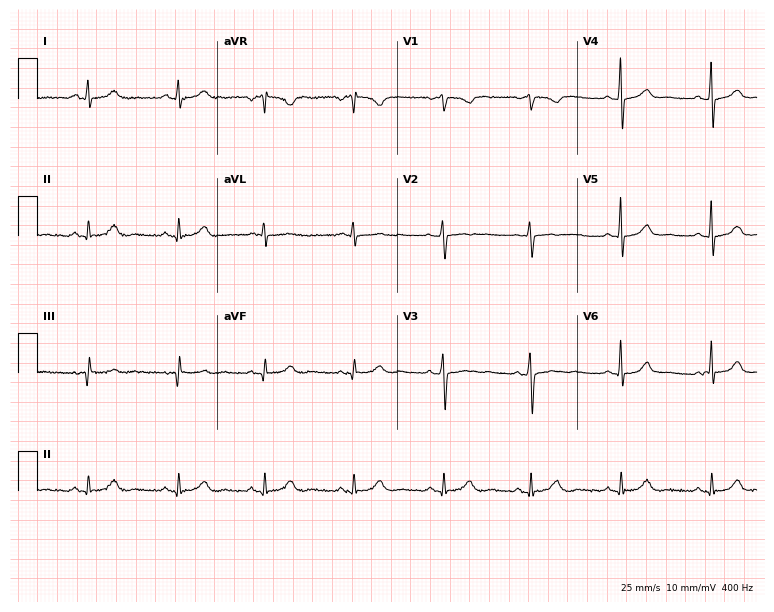
Electrocardiogram, a woman, 37 years old. Of the six screened findings (first-degree AV block, right bundle branch block, left bundle branch block, sinus bradycardia, atrial fibrillation, sinus tachycardia), none is recorded. Only these six findings were labelled.